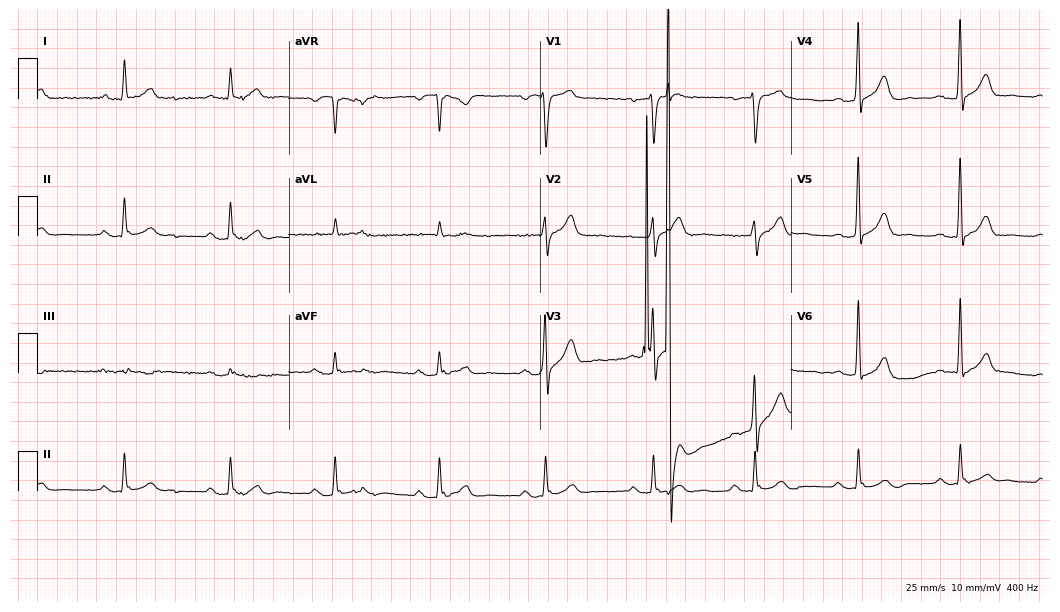
Electrocardiogram, a male patient, 66 years old. Of the six screened findings (first-degree AV block, right bundle branch block, left bundle branch block, sinus bradycardia, atrial fibrillation, sinus tachycardia), none is recorded.